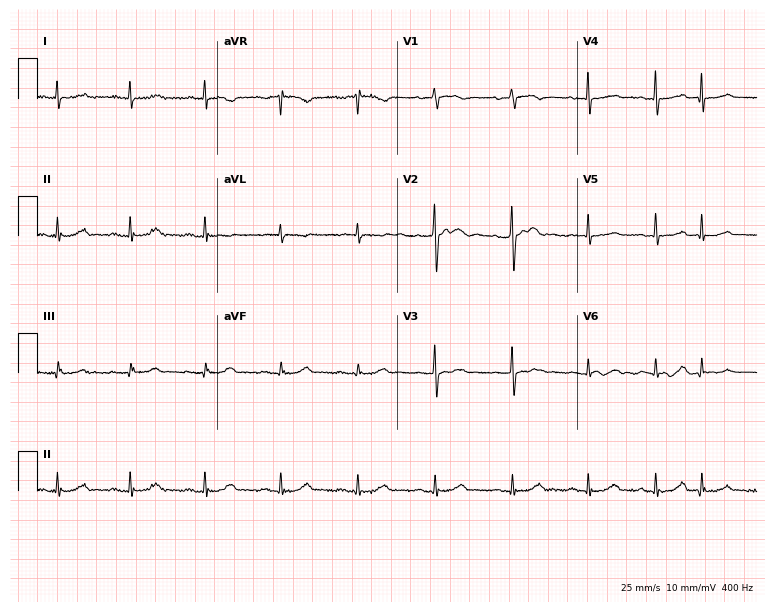
Standard 12-lead ECG recorded from an 84-year-old female patient. None of these six findings is recorded: first-degree AV block, right bundle branch block, left bundle branch block, sinus bradycardia, atrial fibrillation, sinus tachycardia.